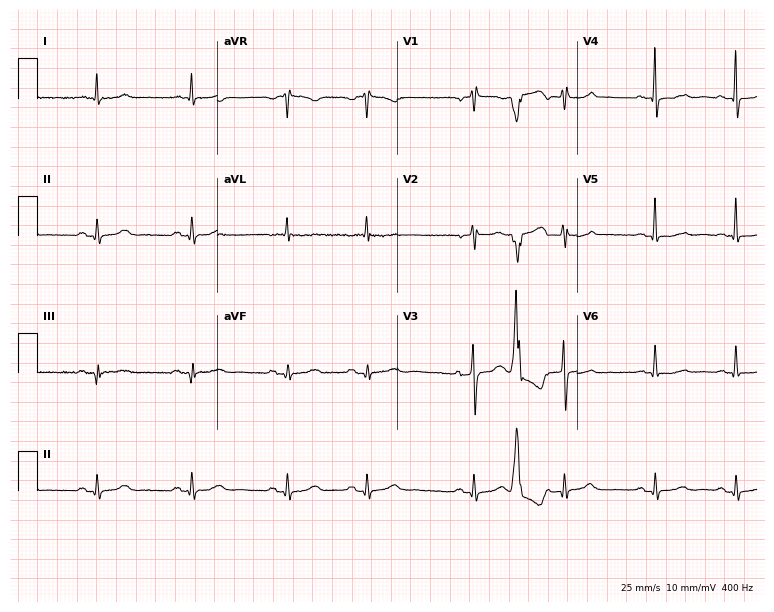
Electrocardiogram (7.3-second recording at 400 Hz), an 80-year-old female patient. Of the six screened findings (first-degree AV block, right bundle branch block, left bundle branch block, sinus bradycardia, atrial fibrillation, sinus tachycardia), none is recorded.